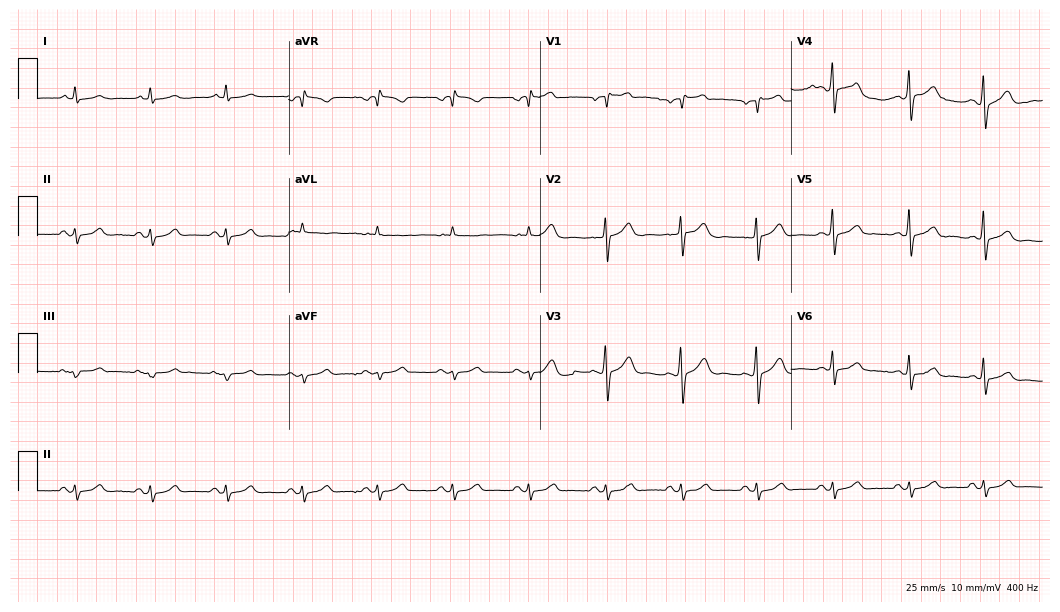
ECG (10.2-second recording at 400 Hz) — a 59-year-old male patient. Screened for six findings — first-degree AV block, right bundle branch block, left bundle branch block, sinus bradycardia, atrial fibrillation, sinus tachycardia — none is recorded.